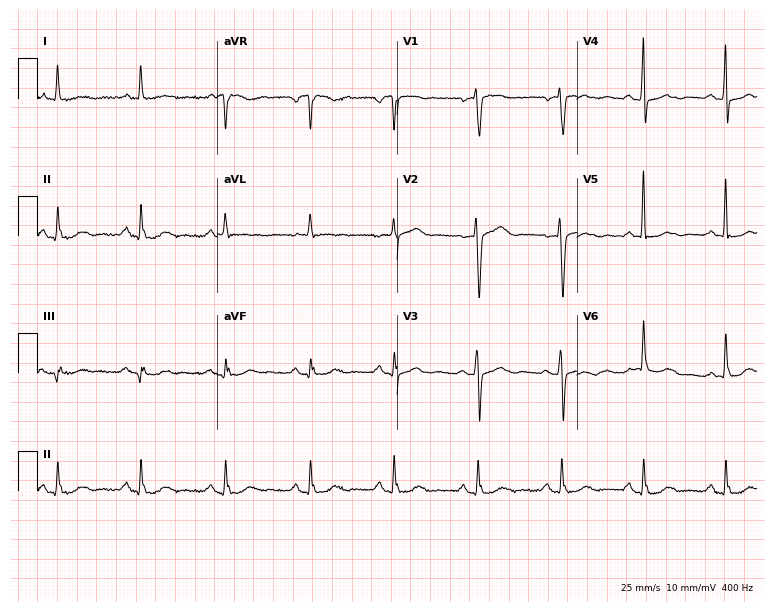
12-lead ECG (7.3-second recording at 400 Hz) from a female patient, 79 years old. Labelled as a normal ECG.